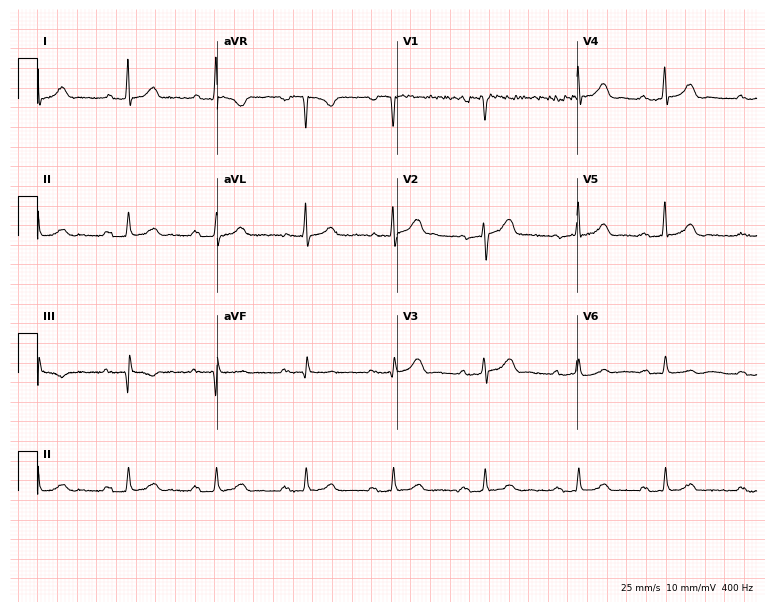
Electrocardiogram, a woman, 53 years old. Overall reading on record: normal ECG.